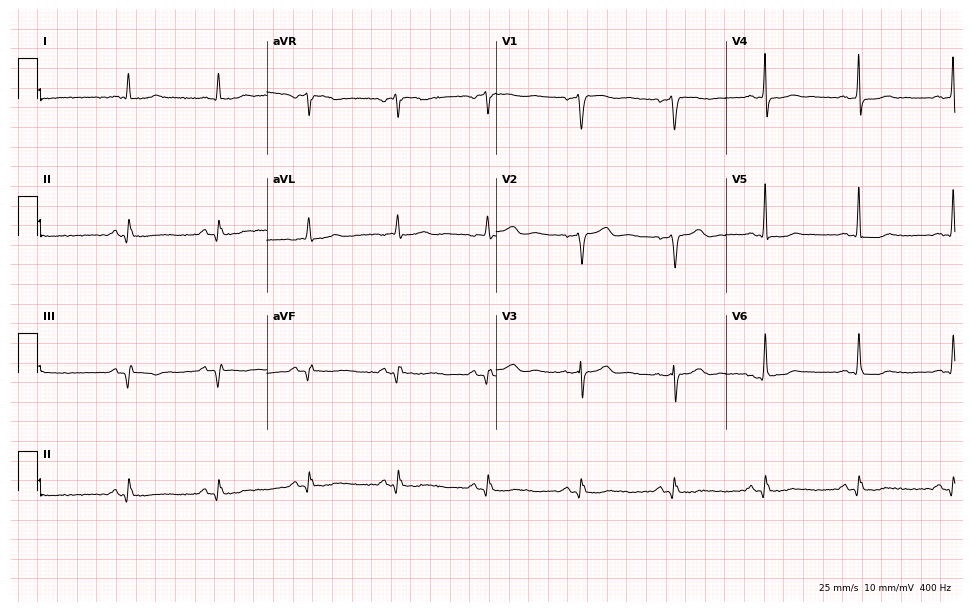
12-lead ECG from a 64-year-old male (9.4-second recording at 400 Hz). No first-degree AV block, right bundle branch block (RBBB), left bundle branch block (LBBB), sinus bradycardia, atrial fibrillation (AF) or sinus tachycardia recorded for this tracing. Other findings, if any, are not listed.